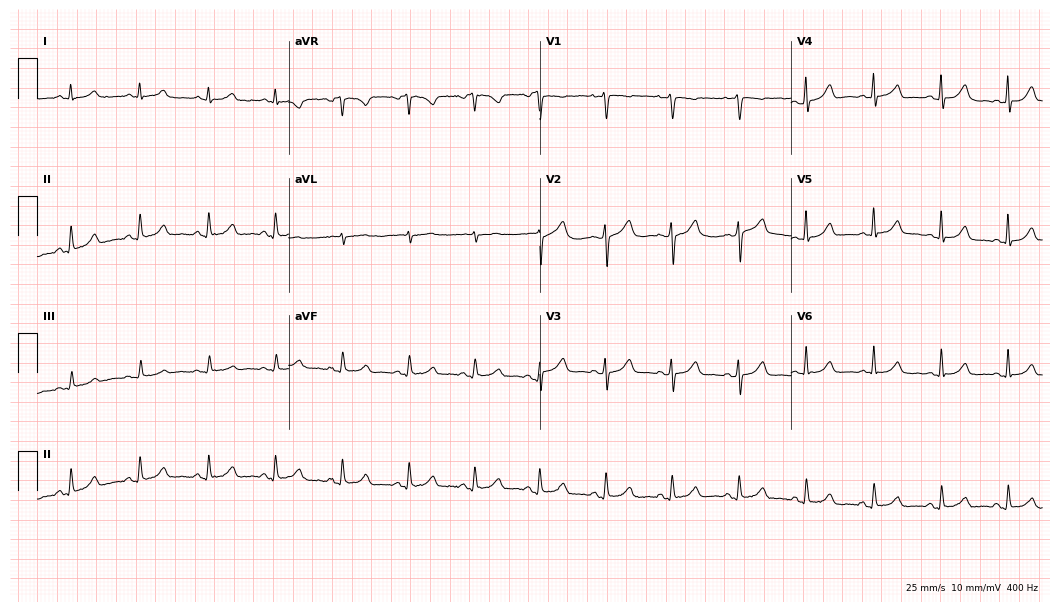
ECG — a female patient, 32 years old. Labelled as a normal ECG.